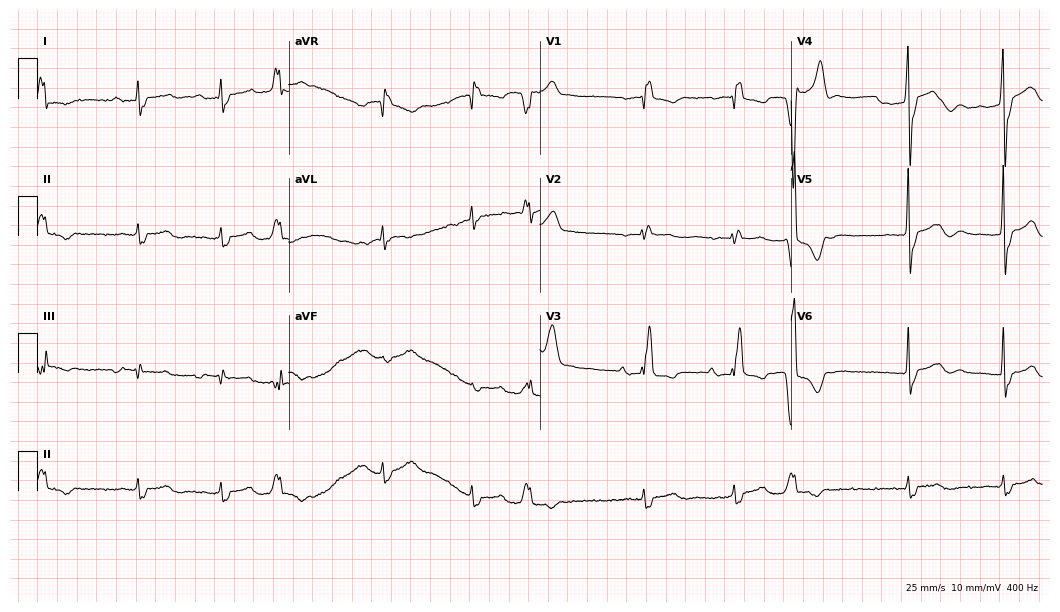
Standard 12-lead ECG recorded from an 83-year-old male patient (10.2-second recording at 400 Hz). The tracing shows right bundle branch block (RBBB).